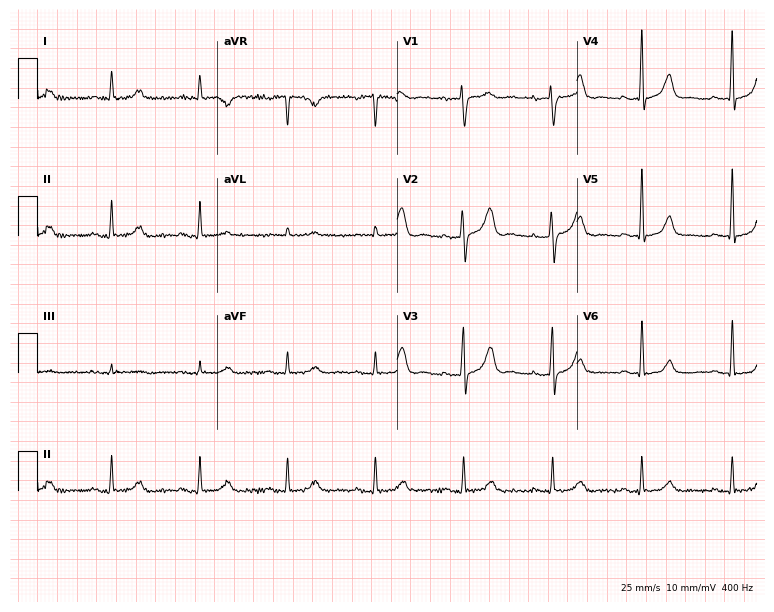
Resting 12-lead electrocardiogram (7.3-second recording at 400 Hz). Patient: a 74-year-old man. Read as a normal ECG.